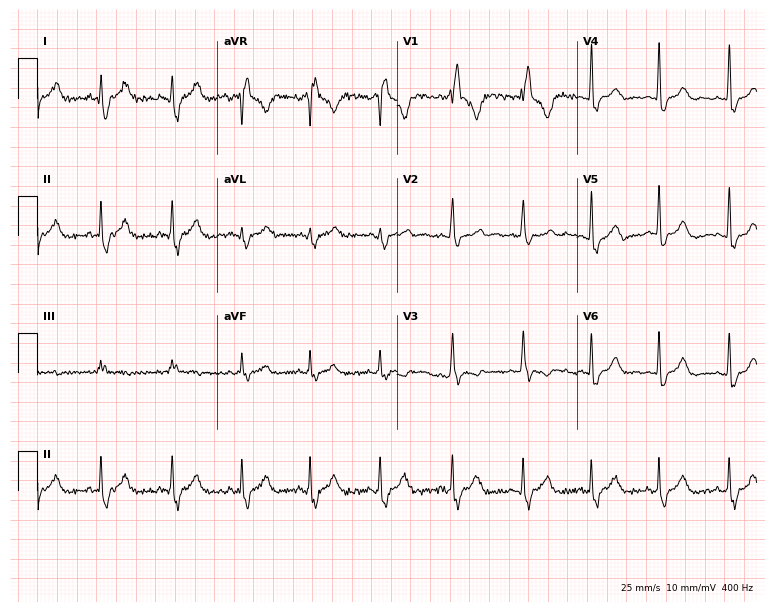
ECG — a 36-year-old woman. Findings include right bundle branch block.